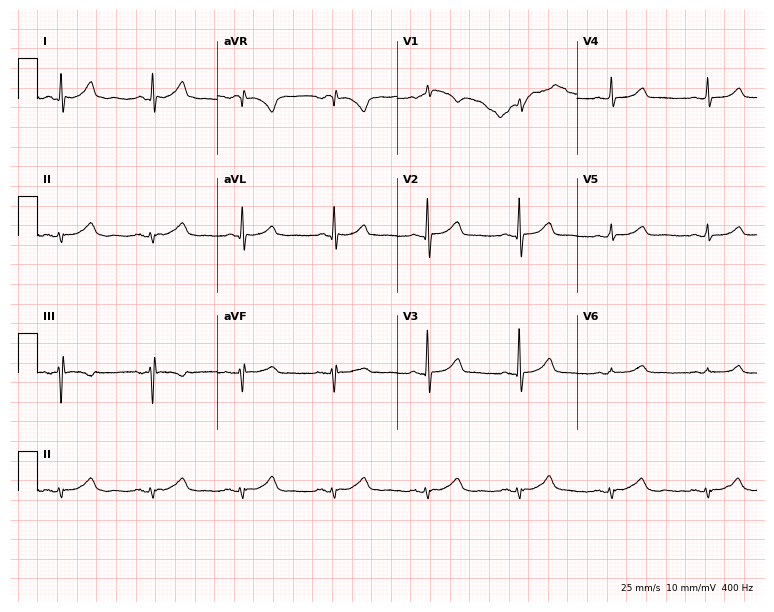
Standard 12-lead ECG recorded from a 60-year-old woman (7.3-second recording at 400 Hz). None of these six findings is recorded: first-degree AV block, right bundle branch block, left bundle branch block, sinus bradycardia, atrial fibrillation, sinus tachycardia. Only these six findings were labelled.